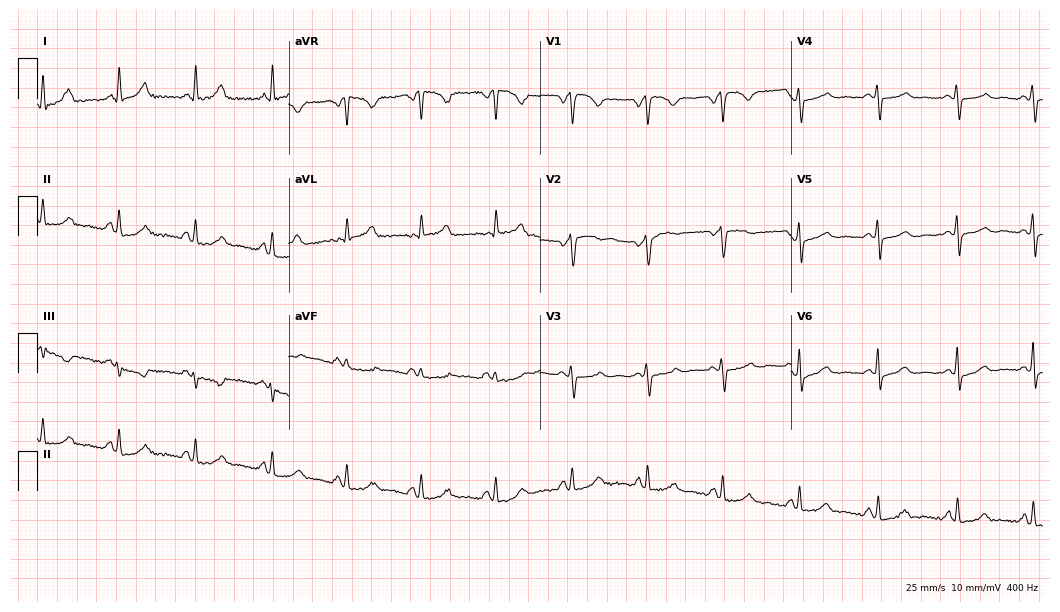
12-lead ECG from a 42-year-old female patient (10.2-second recording at 400 Hz). Recorded interpretation: within normal limits.